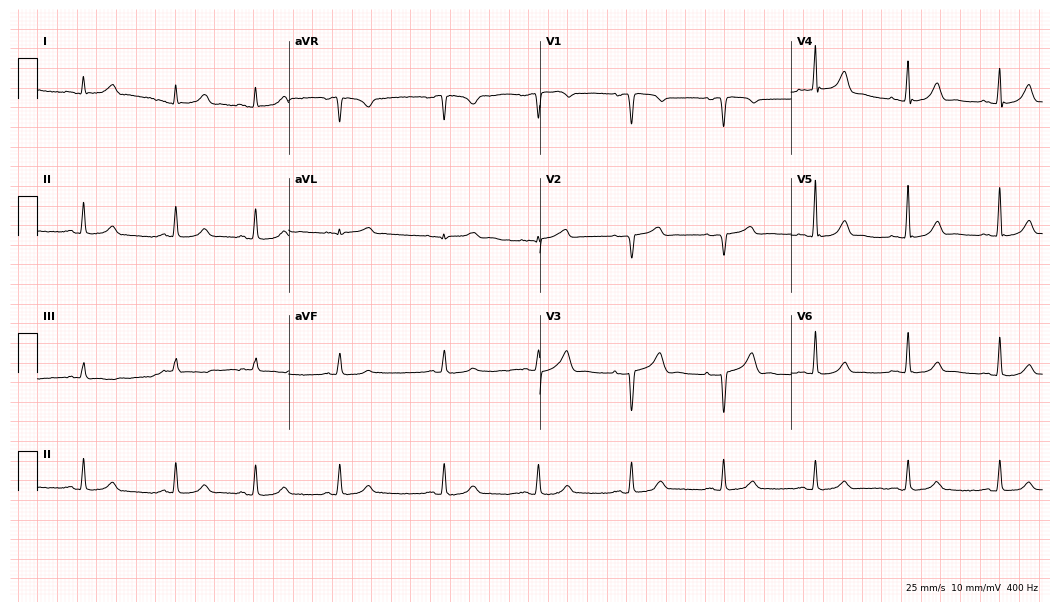
12-lead ECG from a female, 80 years old (10.2-second recording at 400 Hz). No first-degree AV block, right bundle branch block, left bundle branch block, sinus bradycardia, atrial fibrillation or sinus tachycardia recorded for this tracing.